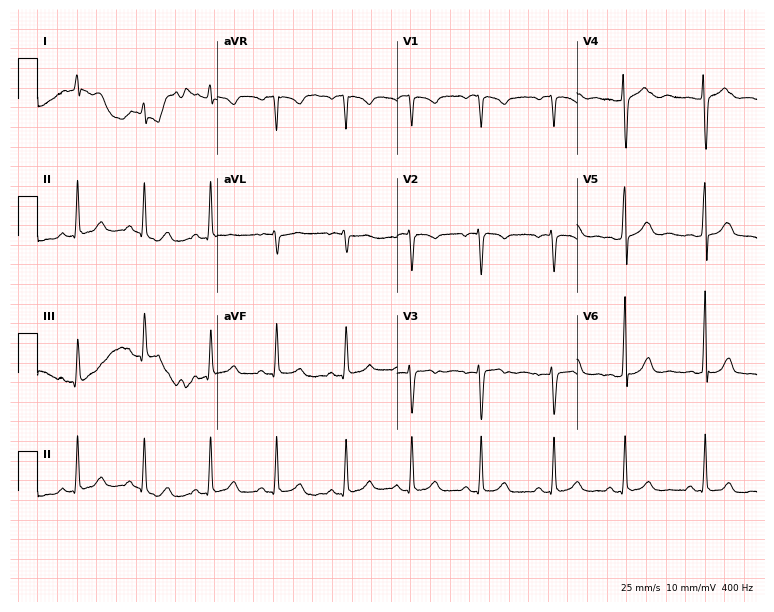
ECG (7.3-second recording at 400 Hz) — a 21-year-old female. Labelled as a normal ECG.